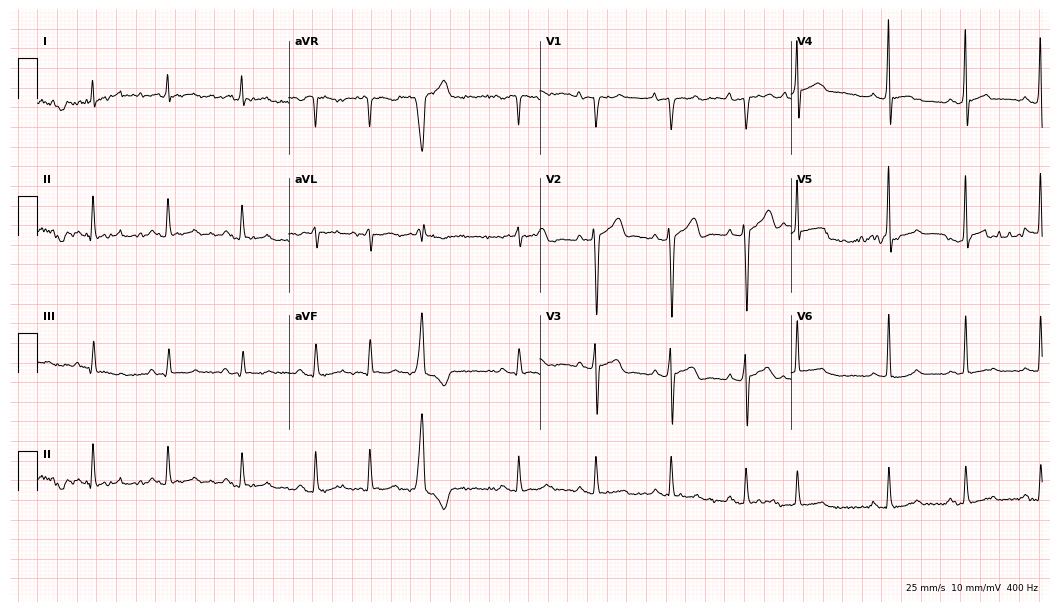
12-lead ECG (10.2-second recording at 400 Hz) from a man, 83 years old. Screened for six findings — first-degree AV block, right bundle branch block, left bundle branch block, sinus bradycardia, atrial fibrillation, sinus tachycardia — none is recorded. Other findings, if any, are not listed.